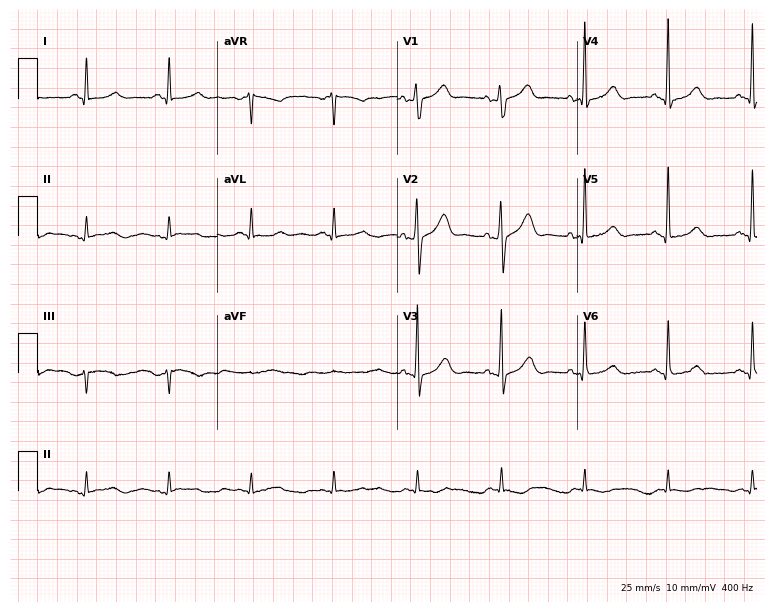
ECG — a male patient, 62 years old. Labelled as a normal ECG.